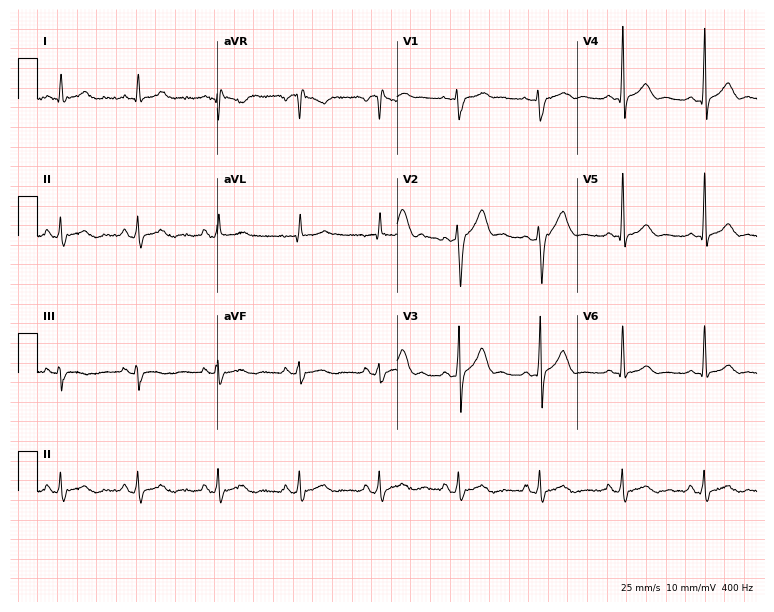
ECG (7.3-second recording at 400 Hz) — a 40-year-old male. Labelled as a normal ECG.